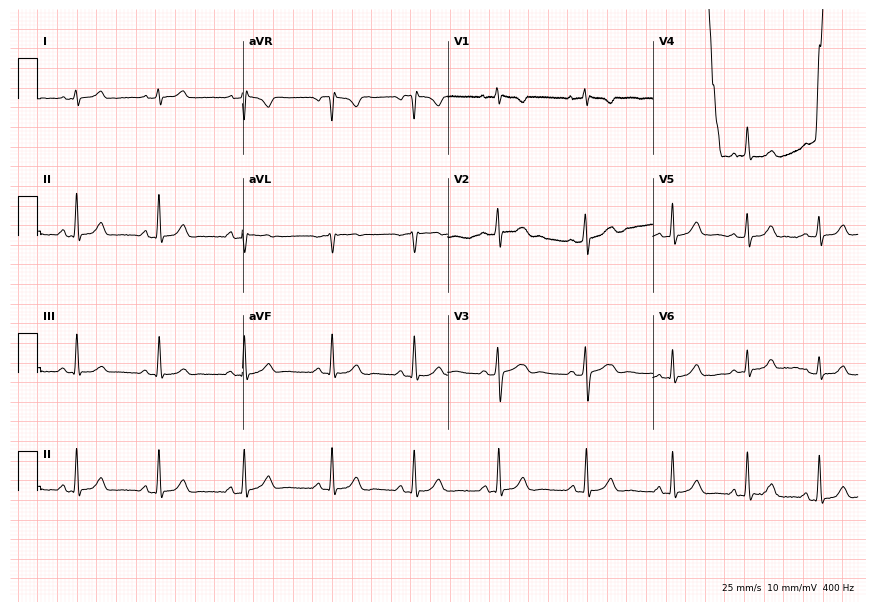
12-lead ECG from a 21-year-old woman. Labelled as a normal ECG.